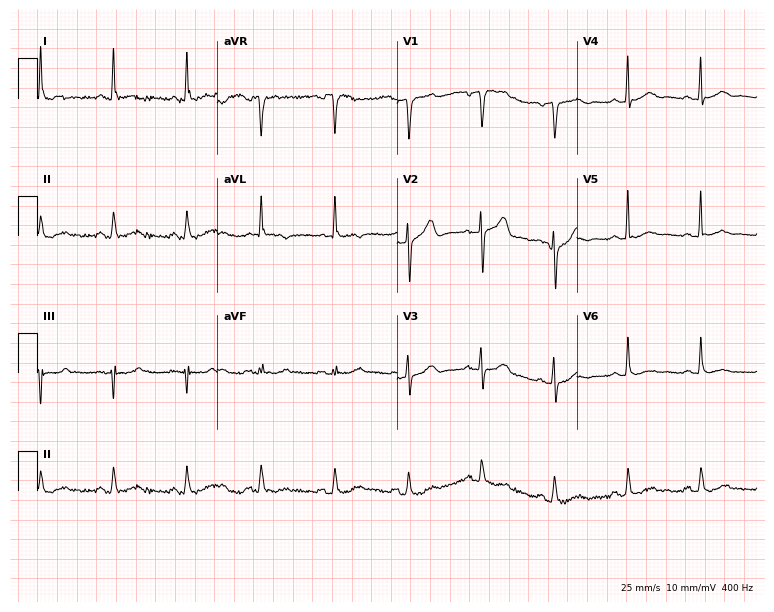
12-lead ECG from a 65-year-old female. Recorded interpretation: within normal limits.